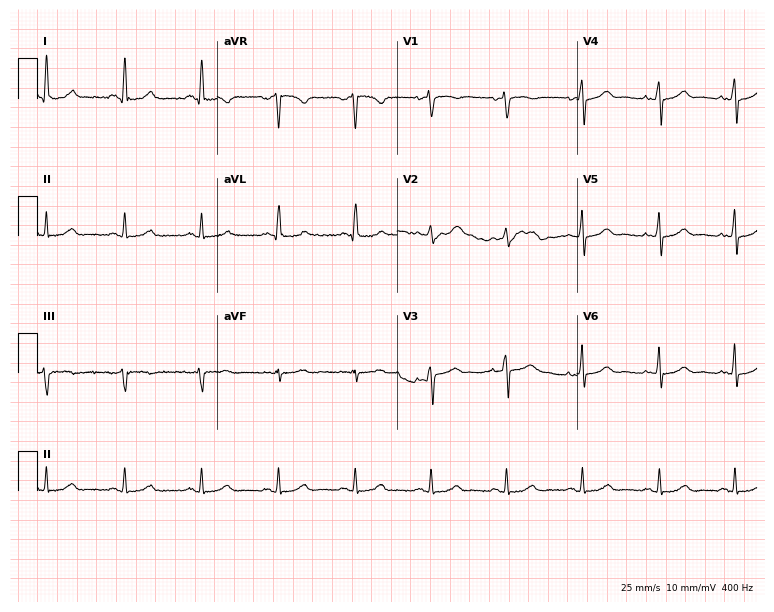
Electrocardiogram, a male, 53 years old. Overall reading on record: normal ECG.